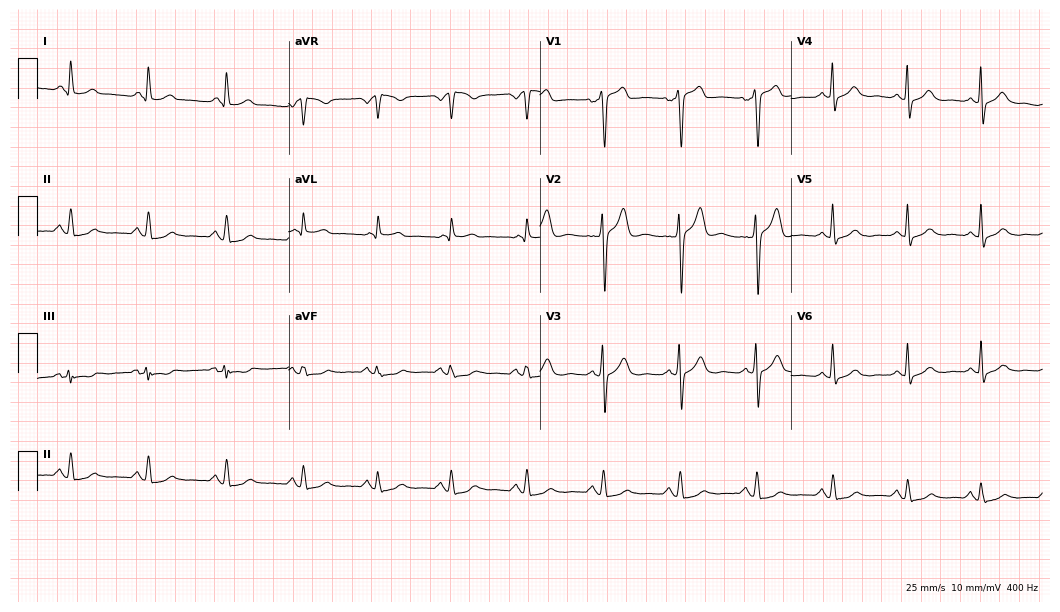
Resting 12-lead electrocardiogram. Patient: a man, 44 years old. None of these six findings is recorded: first-degree AV block, right bundle branch block, left bundle branch block, sinus bradycardia, atrial fibrillation, sinus tachycardia. Findings outside these six are not listed.